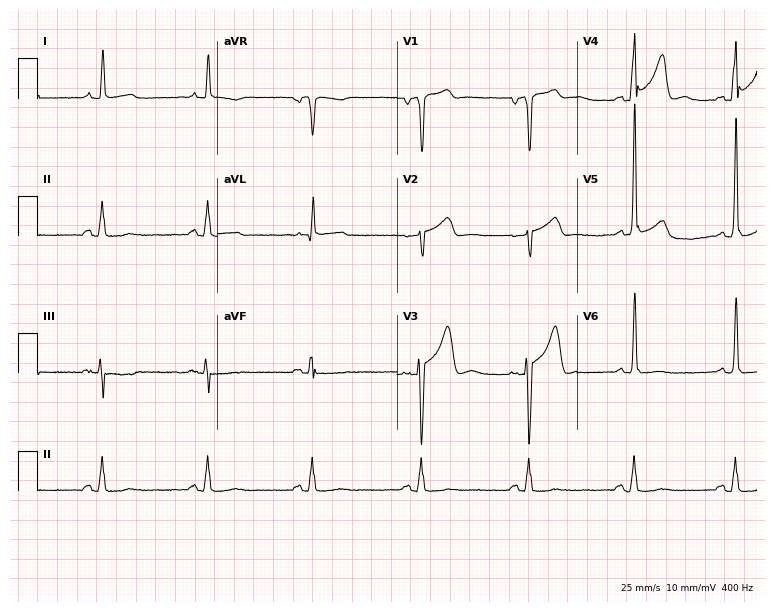
Resting 12-lead electrocardiogram. Patient: a male, 75 years old. None of these six findings is recorded: first-degree AV block, right bundle branch block, left bundle branch block, sinus bradycardia, atrial fibrillation, sinus tachycardia.